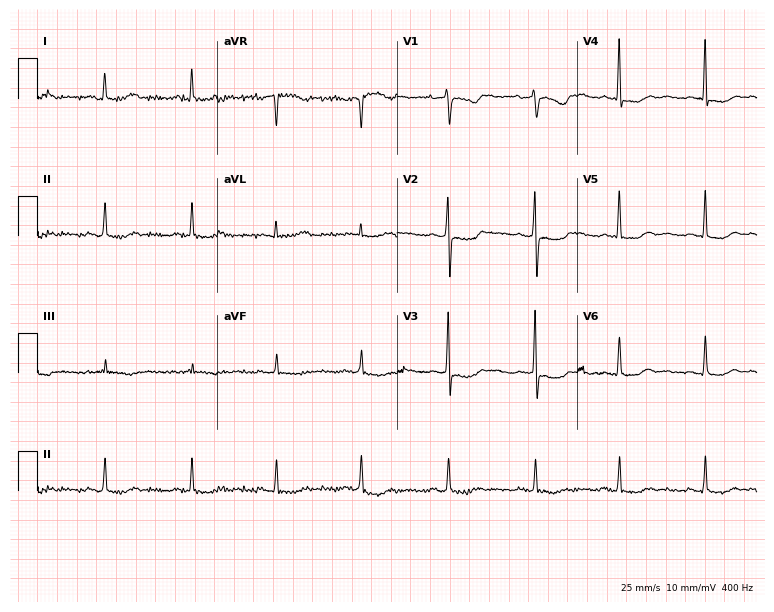
12-lead ECG from a female, 62 years old. Screened for six findings — first-degree AV block, right bundle branch block, left bundle branch block, sinus bradycardia, atrial fibrillation, sinus tachycardia — none is recorded. Other findings, if any, are not listed.